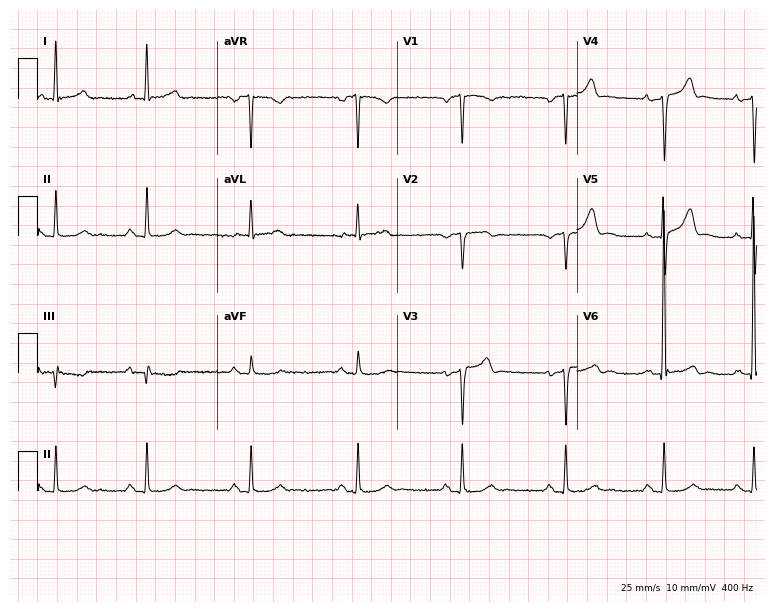
ECG — a man, 77 years old. Screened for six findings — first-degree AV block, right bundle branch block (RBBB), left bundle branch block (LBBB), sinus bradycardia, atrial fibrillation (AF), sinus tachycardia — none is recorded. Only these six findings were labelled.